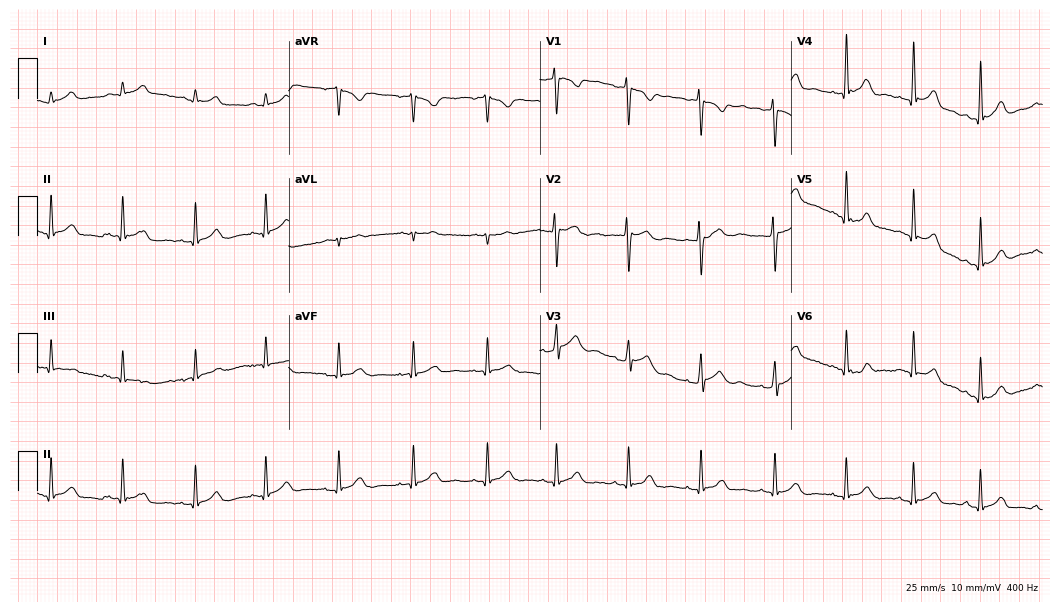
Resting 12-lead electrocardiogram. Patient: a 23-year-old male. None of these six findings is recorded: first-degree AV block, right bundle branch block, left bundle branch block, sinus bradycardia, atrial fibrillation, sinus tachycardia.